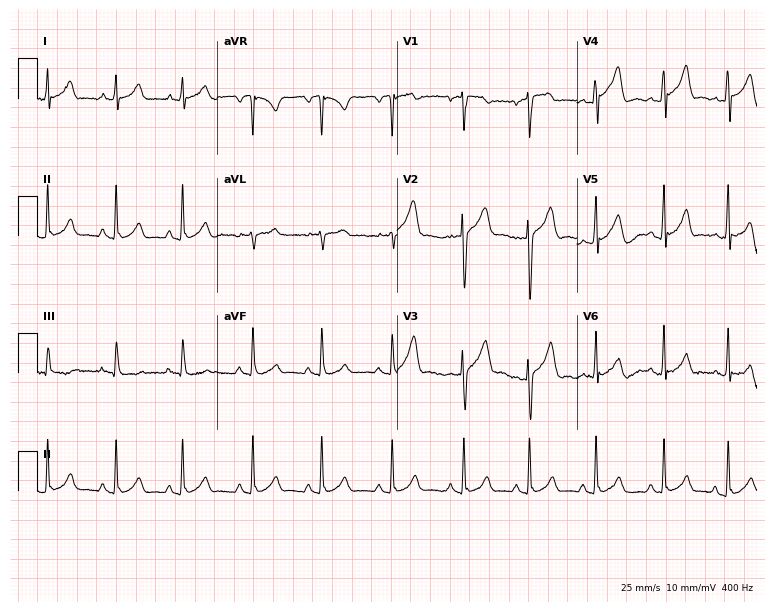
Standard 12-lead ECG recorded from a man, 20 years old (7.3-second recording at 400 Hz). Read as a normal ECG.